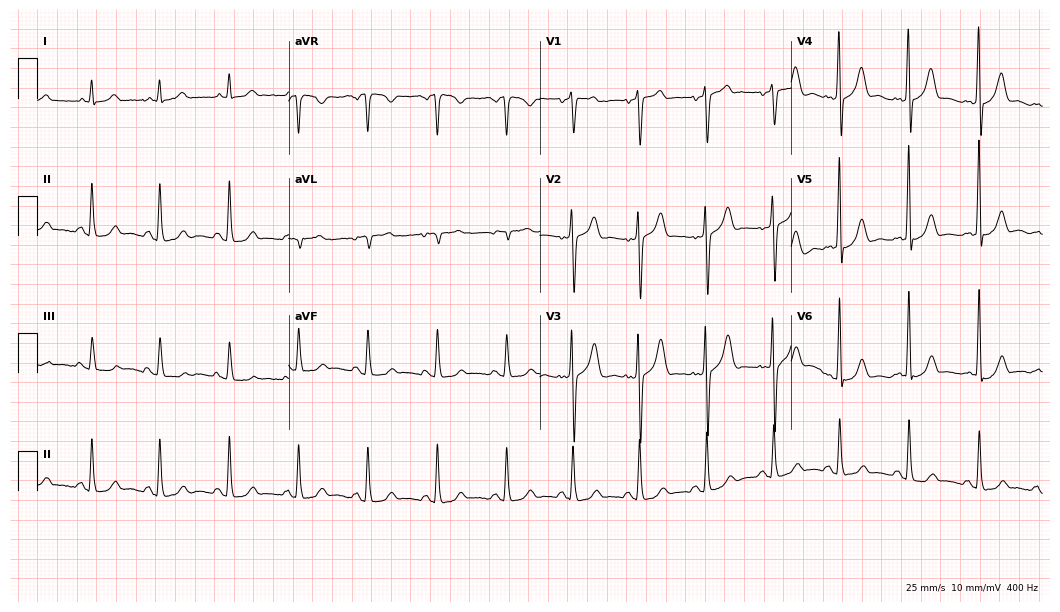
12-lead ECG from a man, 69 years old (10.2-second recording at 400 Hz). Recorded interpretation: within normal limits.